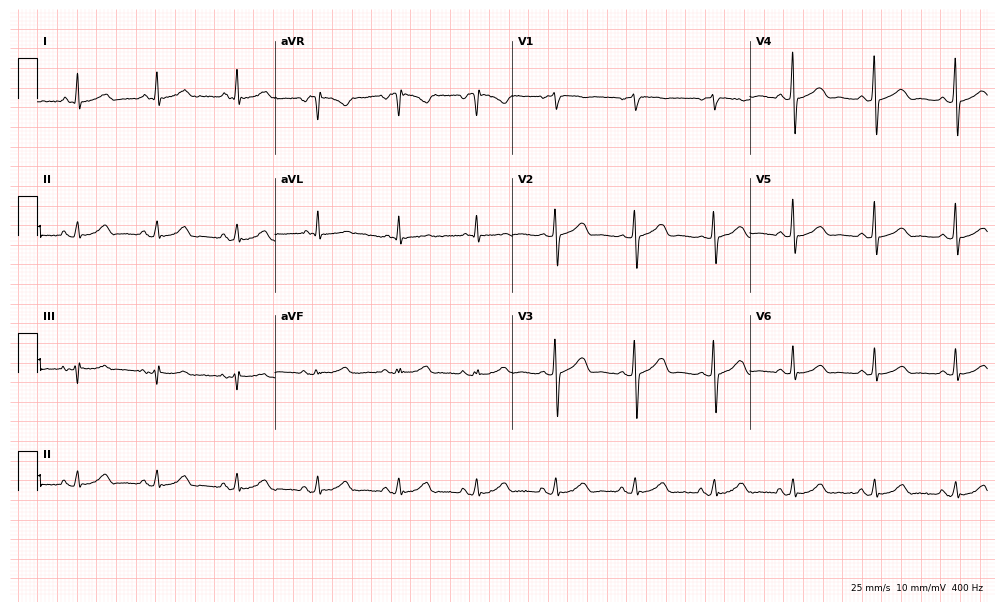
ECG (9.7-second recording at 400 Hz) — a 58-year-old female patient. Labelled as a normal ECG.